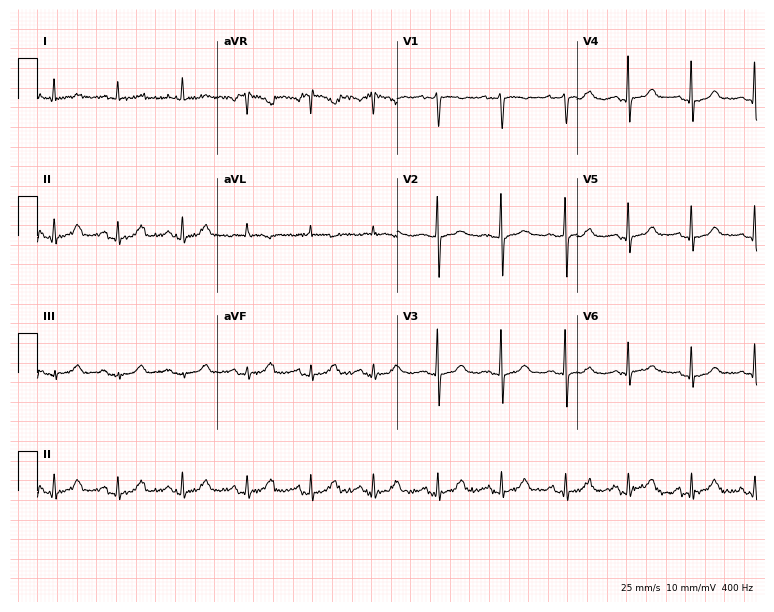
12-lead ECG from a woman, 66 years old. Labelled as a normal ECG.